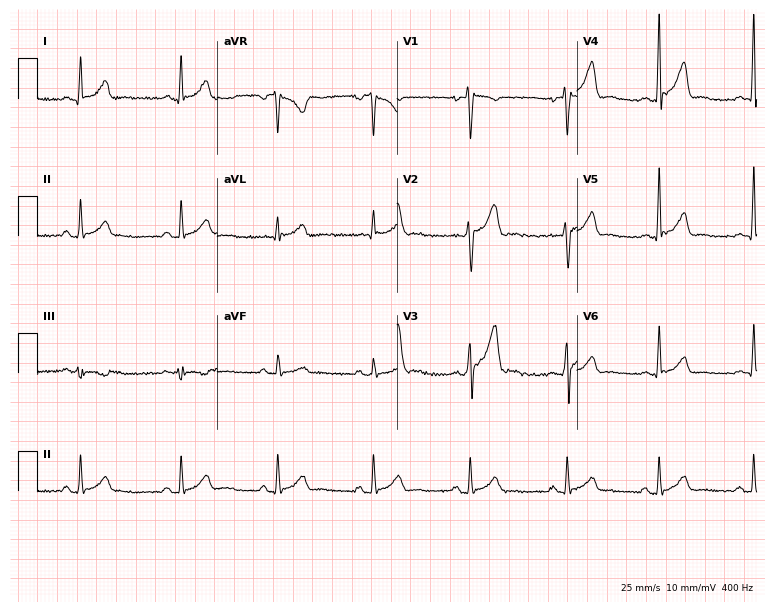
Standard 12-lead ECG recorded from a man, 33 years old (7.3-second recording at 400 Hz). None of these six findings is recorded: first-degree AV block, right bundle branch block, left bundle branch block, sinus bradycardia, atrial fibrillation, sinus tachycardia. Findings outside these six are not listed.